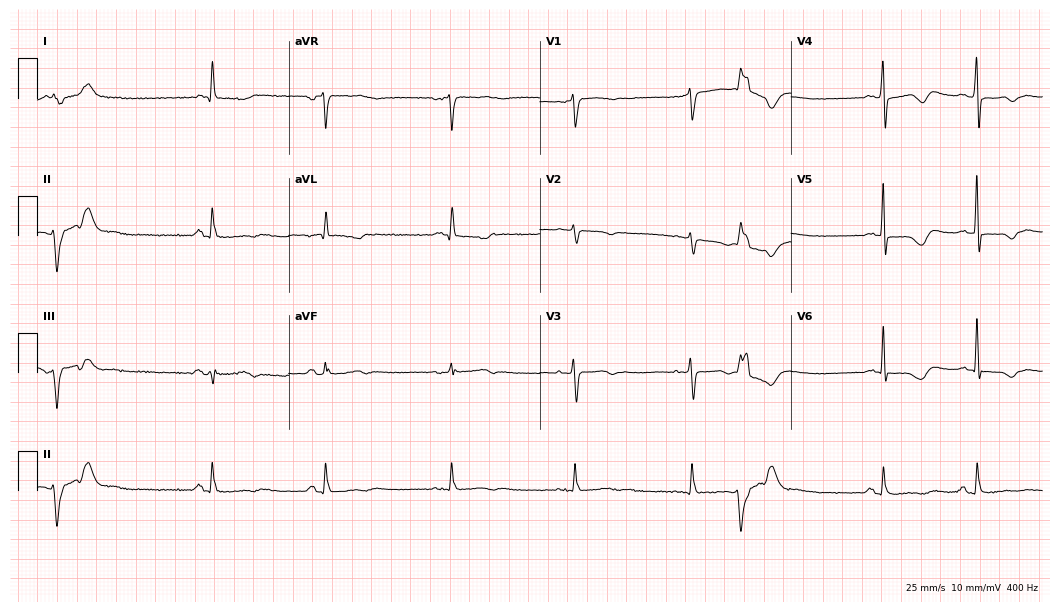
Resting 12-lead electrocardiogram (10.2-second recording at 400 Hz). Patient: a 61-year-old female. None of these six findings is recorded: first-degree AV block, right bundle branch block, left bundle branch block, sinus bradycardia, atrial fibrillation, sinus tachycardia.